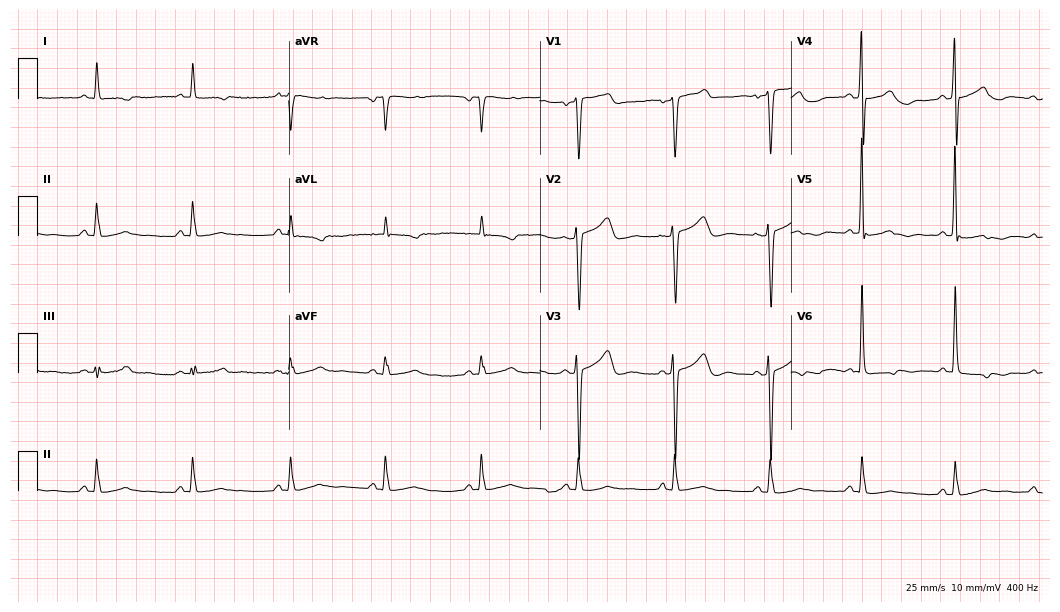
Electrocardiogram (10.2-second recording at 400 Hz), a female patient, 59 years old. Of the six screened findings (first-degree AV block, right bundle branch block (RBBB), left bundle branch block (LBBB), sinus bradycardia, atrial fibrillation (AF), sinus tachycardia), none is recorded. Other findings, if any, are not listed.